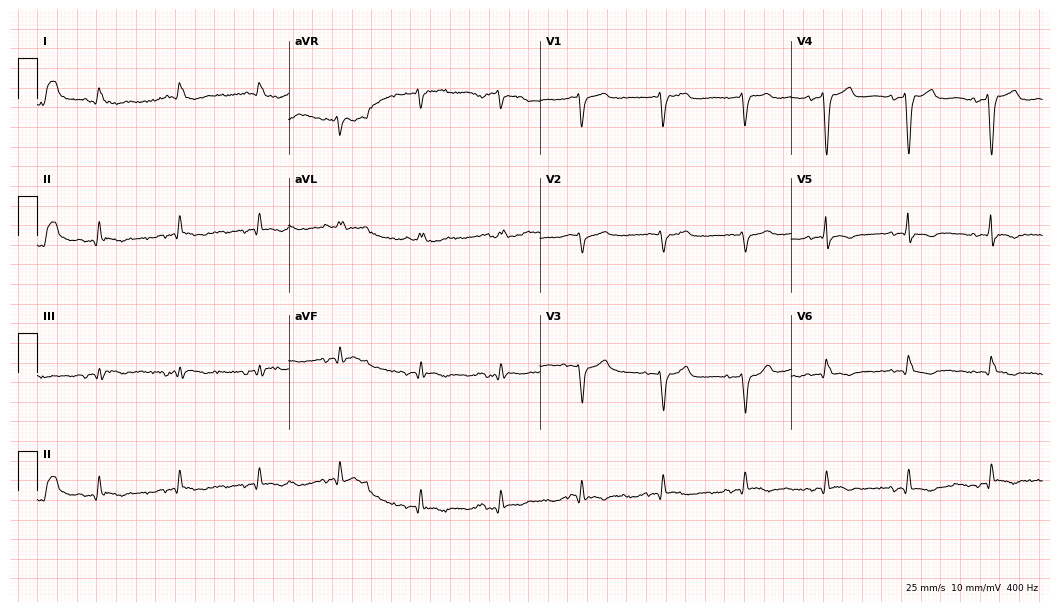
Standard 12-lead ECG recorded from a woman, 77 years old. None of these six findings is recorded: first-degree AV block, right bundle branch block, left bundle branch block, sinus bradycardia, atrial fibrillation, sinus tachycardia.